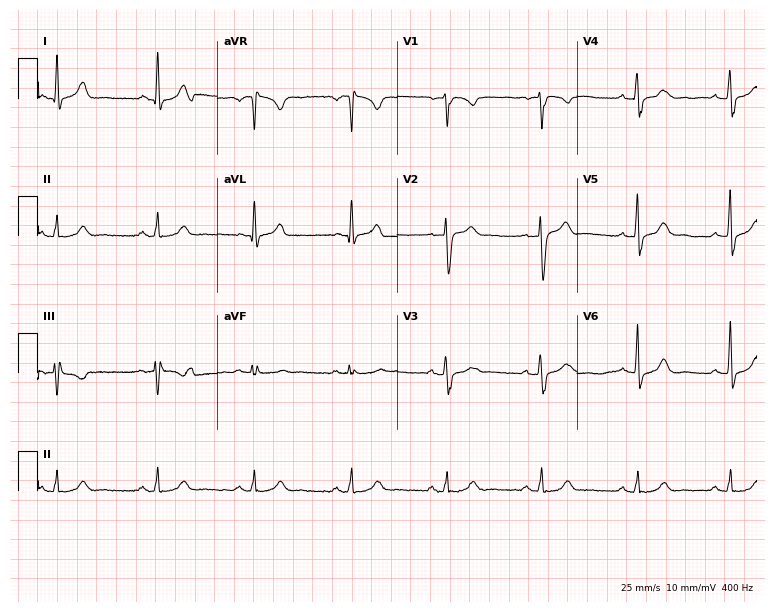
12-lead ECG (7.3-second recording at 400 Hz) from a 54-year-old male patient. Labelled as a normal ECG.